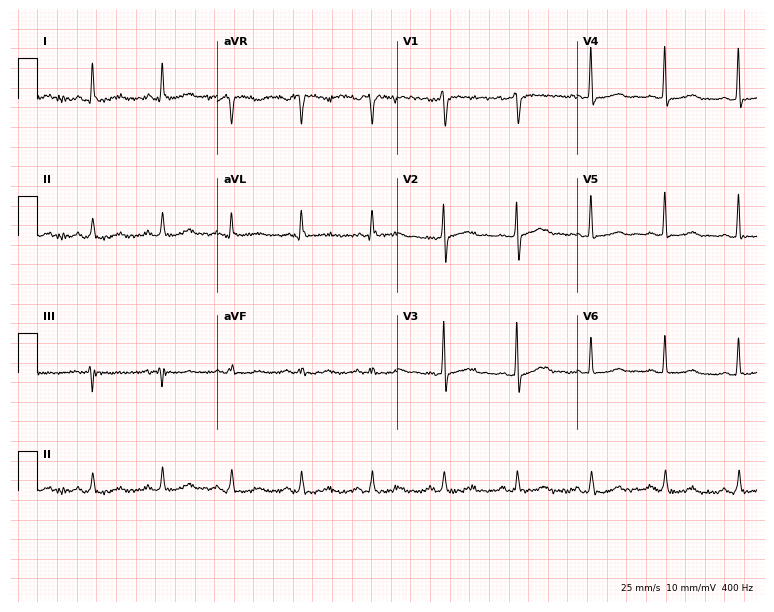
12-lead ECG from a 62-year-old female. No first-degree AV block, right bundle branch block, left bundle branch block, sinus bradycardia, atrial fibrillation or sinus tachycardia recorded for this tracing. Findings outside these six are not listed.